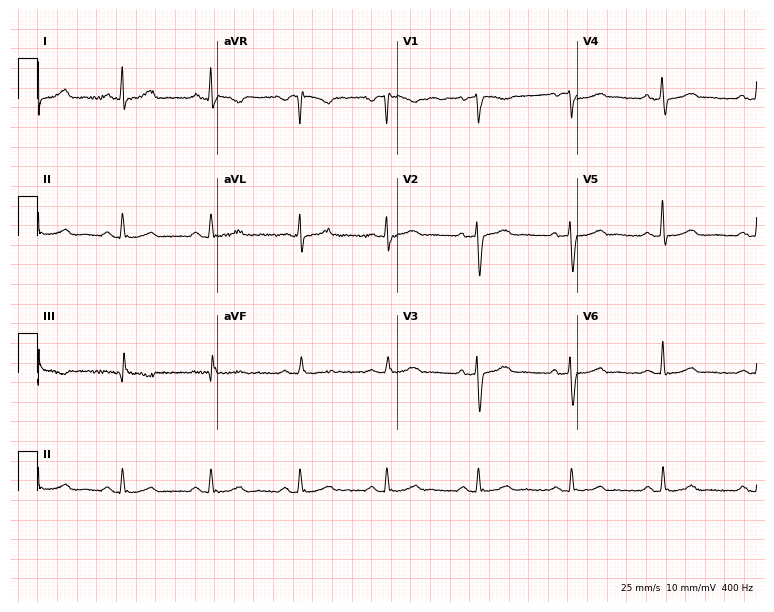
12-lead ECG from a 52-year-old female. Screened for six findings — first-degree AV block, right bundle branch block (RBBB), left bundle branch block (LBBB), sinus bradycardia, atrial fibrillation (AF), sinus tachycardia — none is recorded. Only these six findings were labelled.